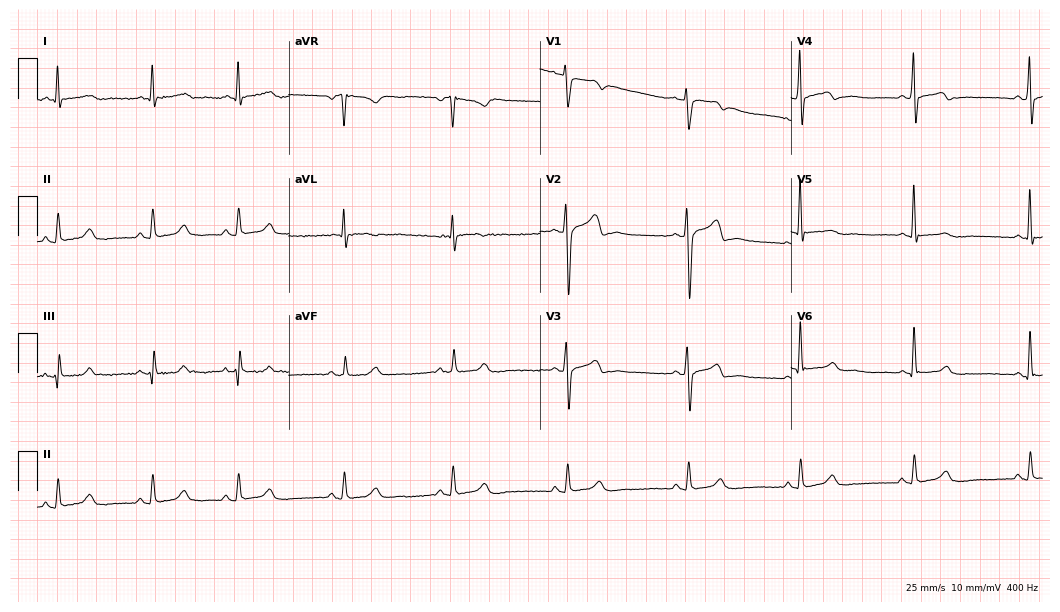
Resting 12-lead electrocardiogram (10.2-second recording at 400 Hz). Patient: a male, 47 years old. Read as a normal ECG.